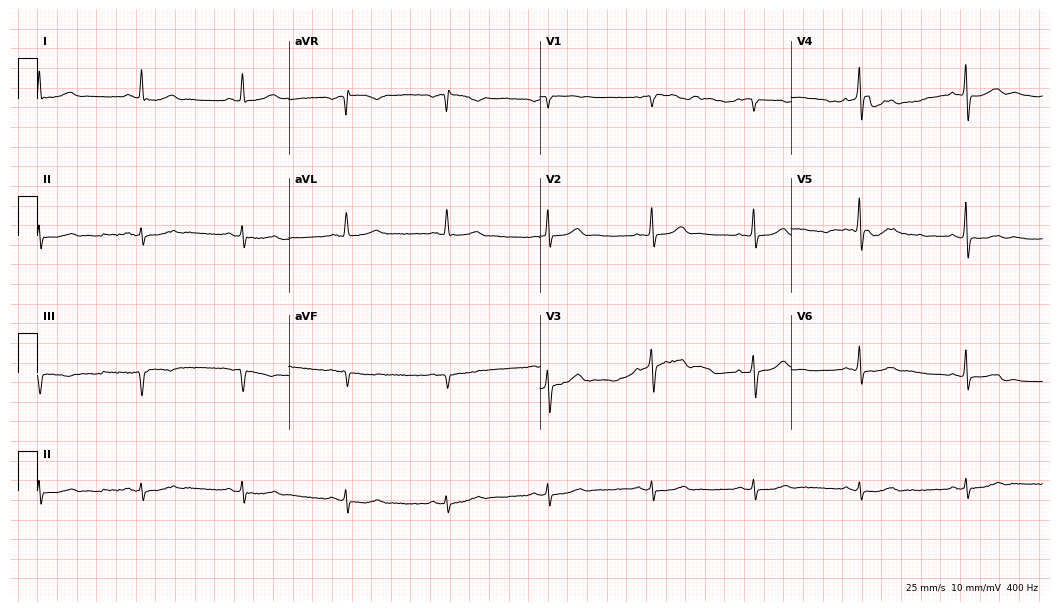
Standard 12-lead ECG recorded from a 77-year-old male. None of these six findings is recorded: first-degree AV block, right bundle branch block (RBBB), left bundle branch block (LBBB), sinus bradycardia, atrial fibrillation (AF), sinus tachycardia.